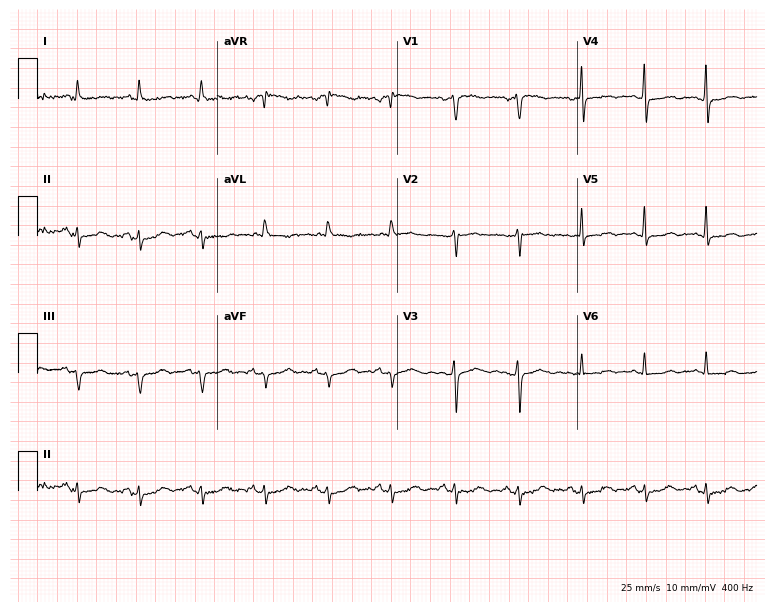
12-lead ECG (7.3-second recording at 400 Hz) from a female patient, 56 years old. Screened for six findings — first-degree AV block, right bundle branch block, left bundle branch block, sinus bradycardia, atrial fibrillation, sinus tachycardia — none is recorded. Other findings, if any, are not listed.